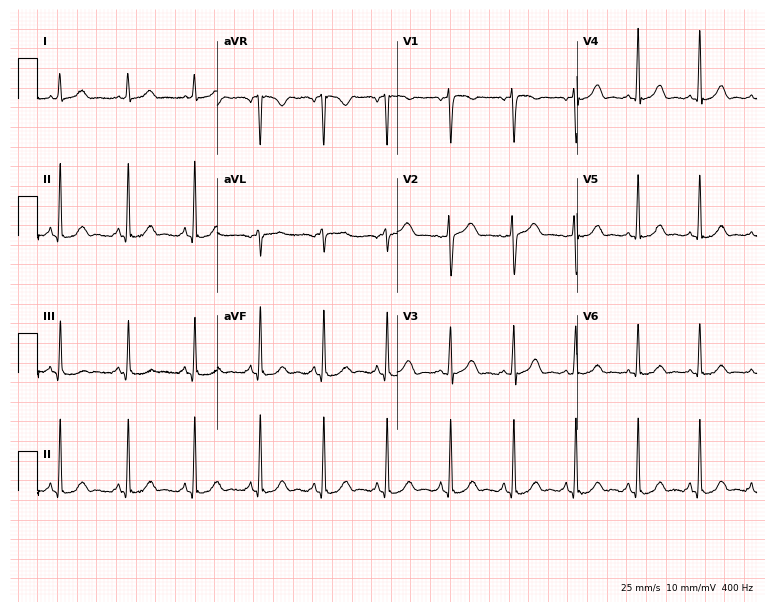
12-lead ECG from a 34-year-old female patient. Labelled as a normal ECG.